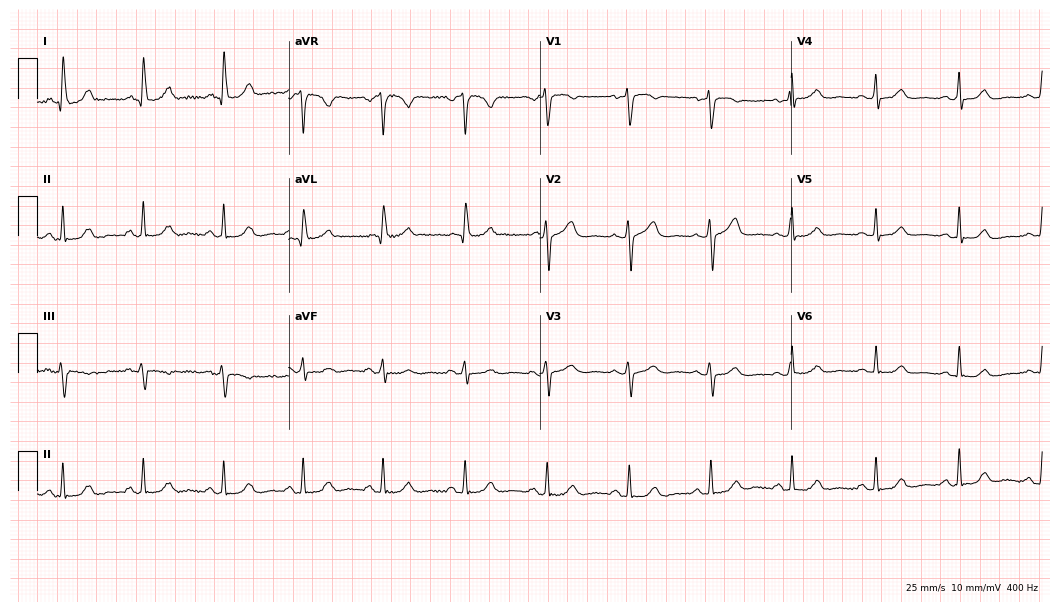
ECG — a woman, 72 years old. Labelled as a normal ECG.